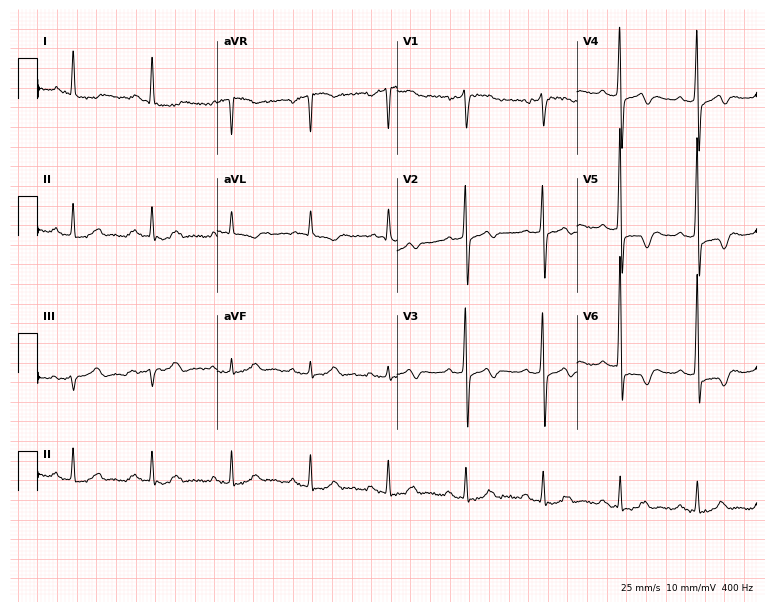
Standard 12-lead ECG recorded from a male, 85 years old. None of these six findings is recorded: first-degree AV block, right bundle branch block, left bundle branch block, sinus bradycardia, atrial fibrillation, sinus tachycardia. Only these six findings were labelled.